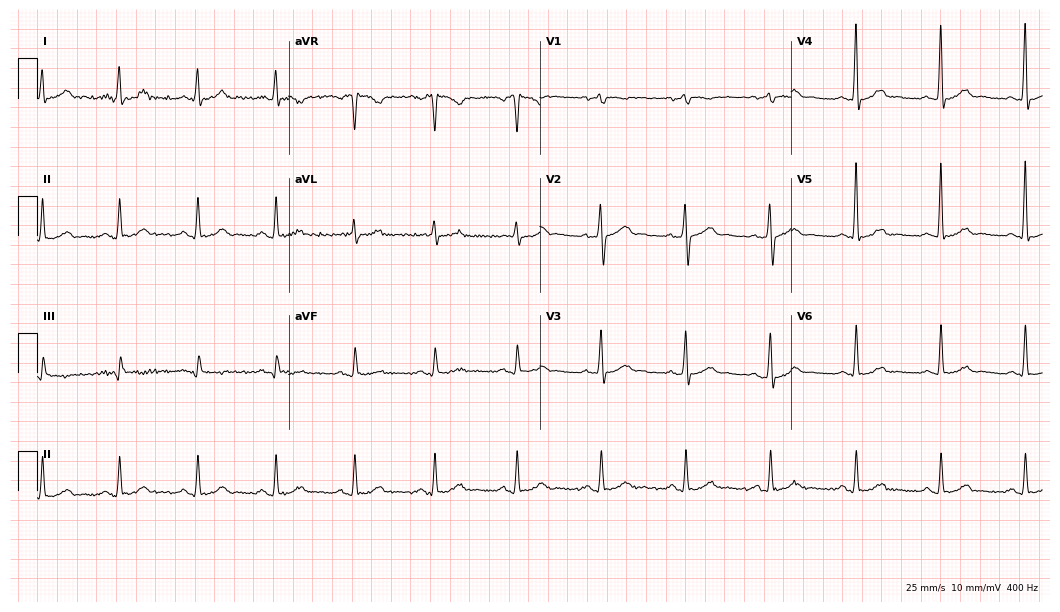
12-lead ECG (10.2-second recording at 400 Hz) from a 53-year-old man. Labelled as a normal ECG.